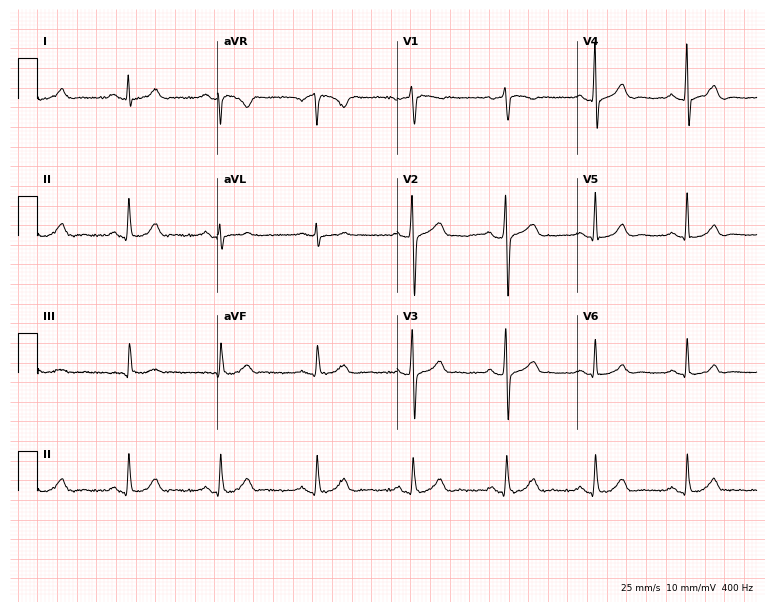
12-lead ECG (7.3-second recording at 400 Hz) from a male patient, 37 years old. Labelled as a normal ECG.